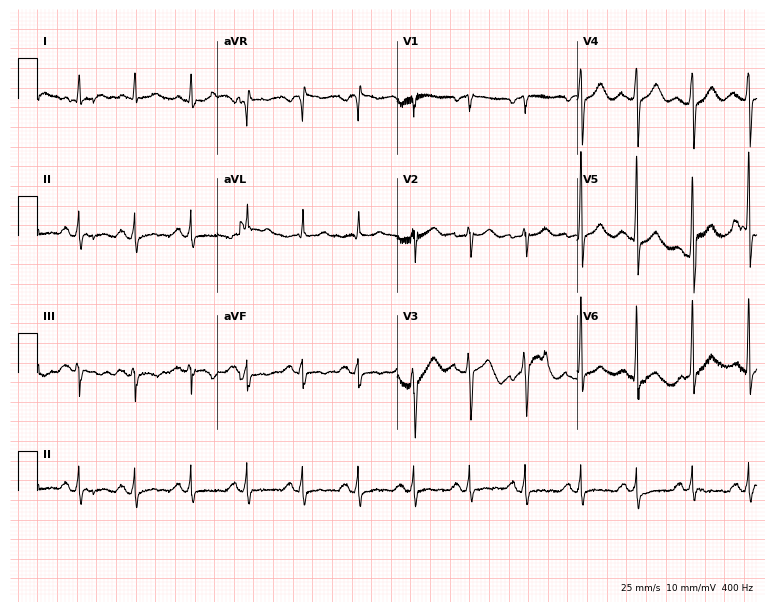
Resting 12-lead electrocardiogram (7.3-second recording at 400 Hz). Patient: a 77-year-old male. The tracing shows sinus tachycardia (a sinus rate of 100 beats per minute or more).